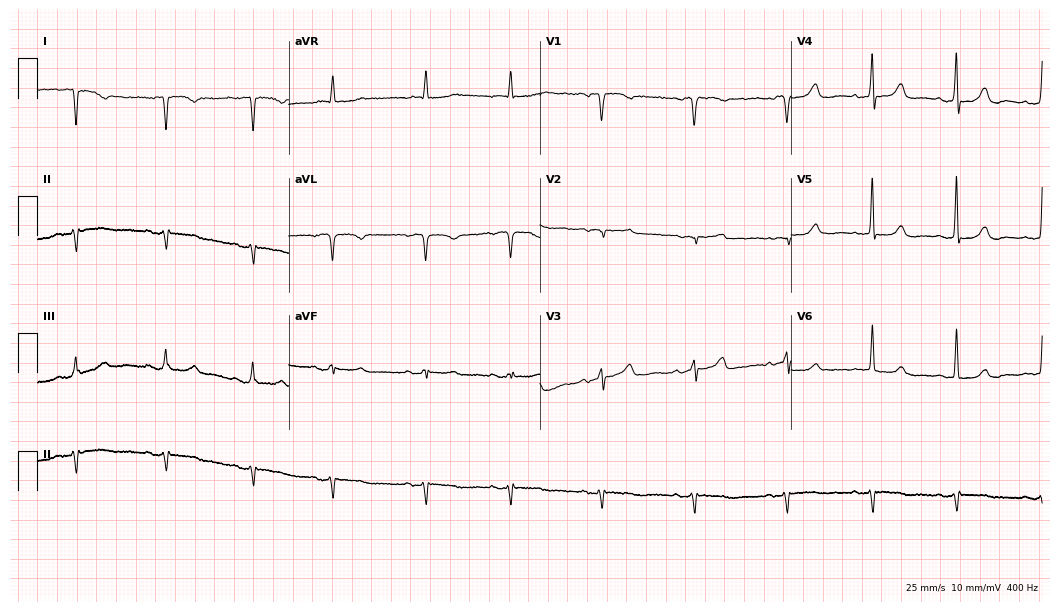
Electrocardiogram, a woman, 73 years old. Of the six screened findings (first-degree AV block, right bundle branch block, left bundle branch block, sinus bradycardia, atrial fibrillation, sinus tachycardia), none is recorded.